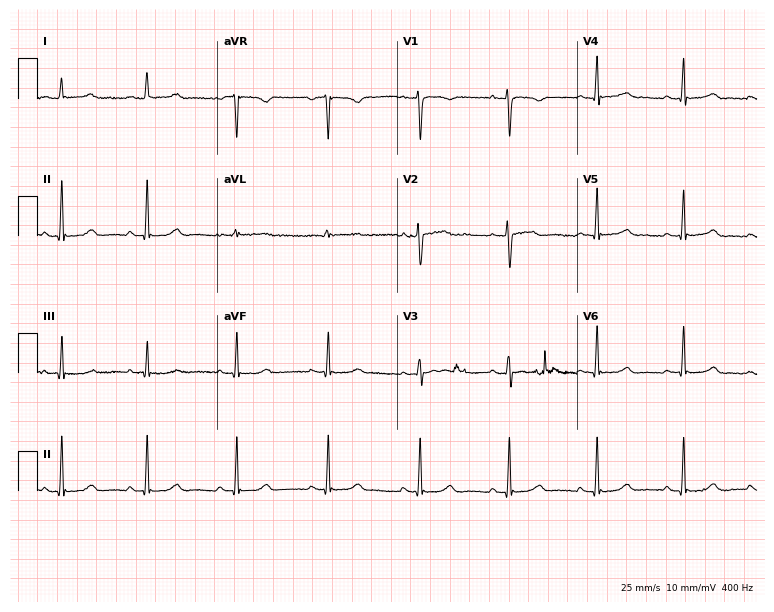
Electrocardiogram, a female patient, 34 years old. Overall reading on record: normal ECG.